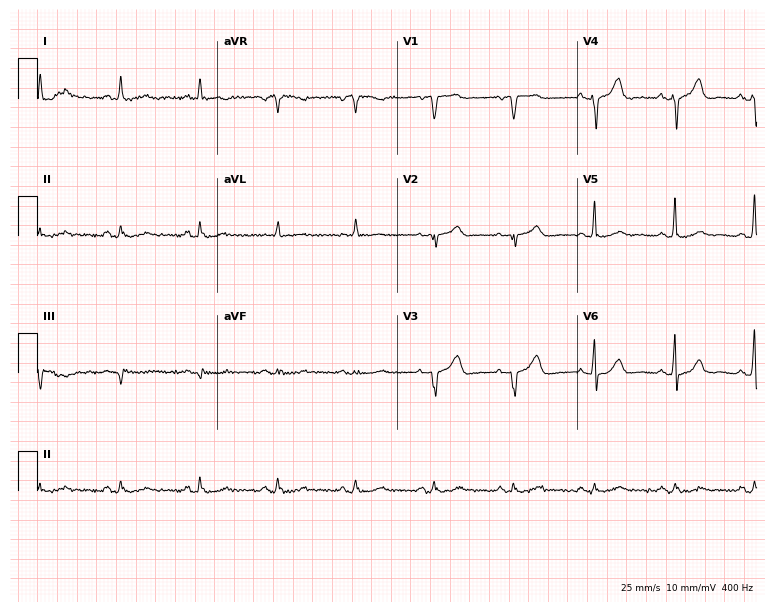
ECG (7.3-second recording at 400 Hz) — a 70-year-old male patient. Screened for six findings — first-degree AV block, right bundle branch block (RBBB), left bundle branch block (LBBB), sinus bradycardia, atrial fibrillation (AF), sinus tachycardia — none is recorded. Other findings, if any, are not listed.